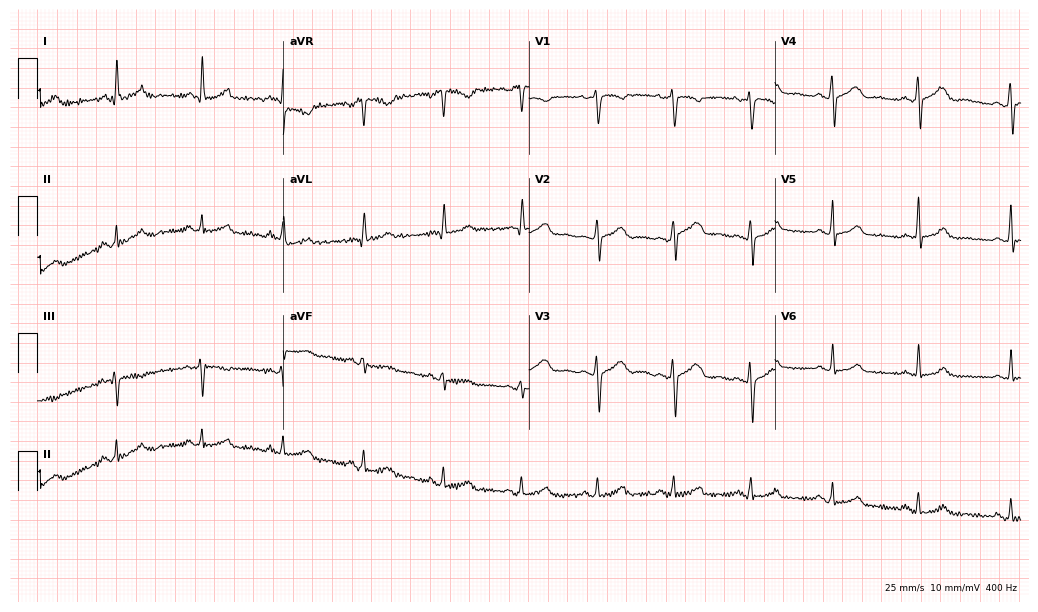
Standard 12-lead ECG recorded from a 35-year-old woman (10-second recording at 400 Hz). Read as a normal ECG.